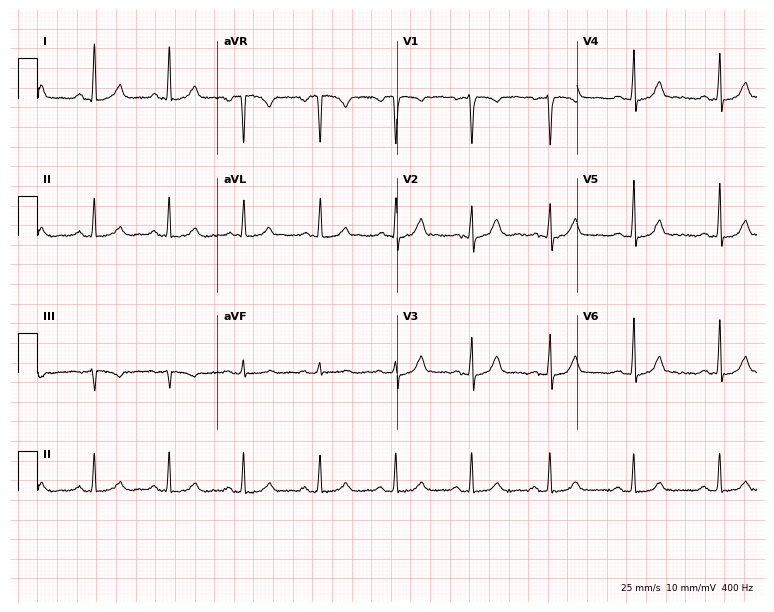
ECG (7.3-second recording at 400 Hz) — a 46-year-old woman. Labelled as a normal ECG.